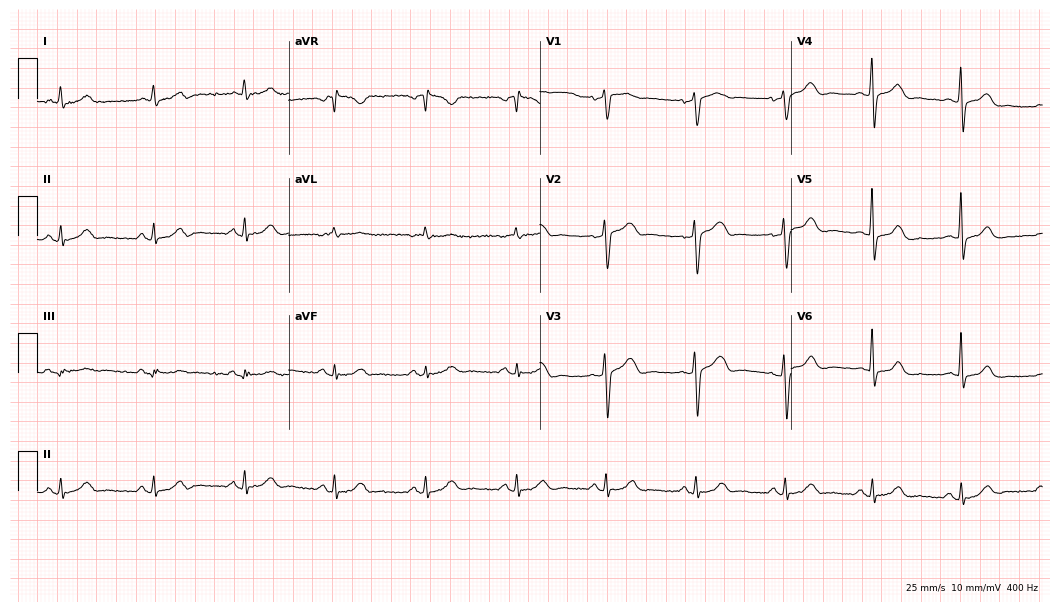
Standard 12-lead ECG recorded from a man, 64 years old (10.2-second recording at 400 Hz). Read as a normal ECG.